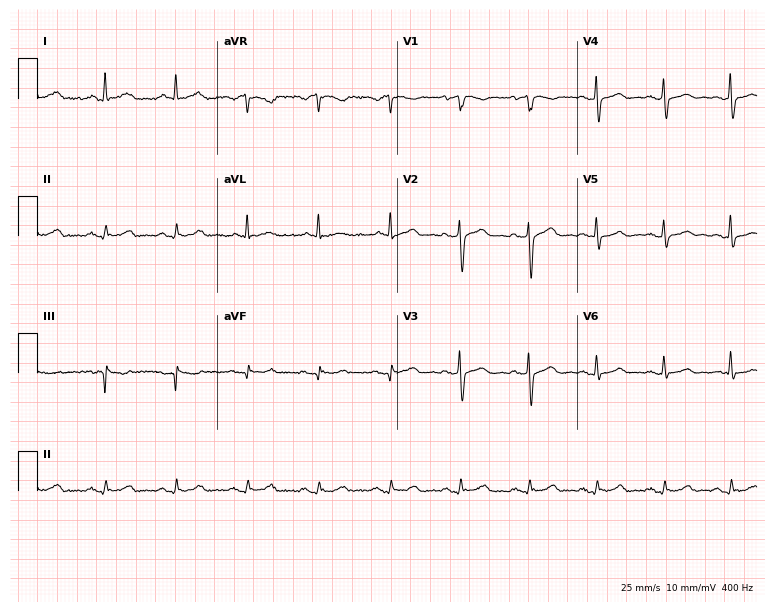
ECG — a 65-year-old male. Labelled as a normal ECG.